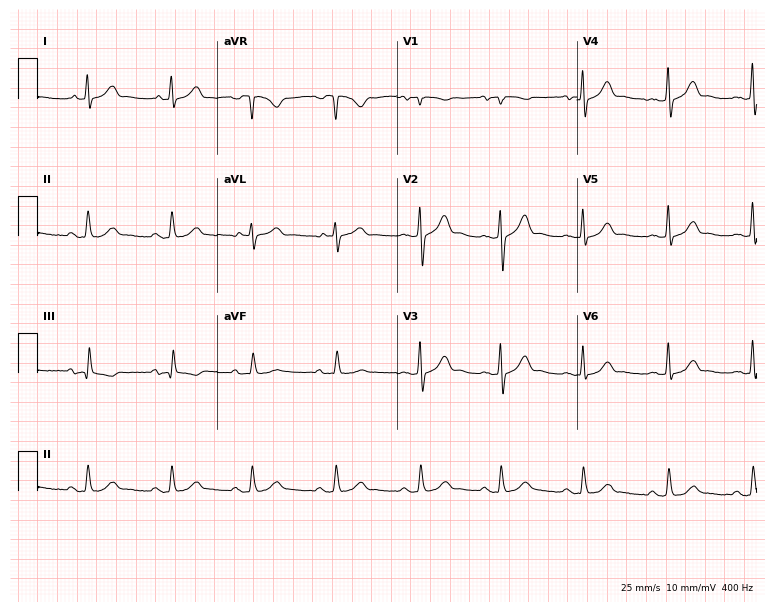
12-lead ECG from a male patient, 44 years old. Screened for six findings — first-degree AV block, right bundle branch block (RBBB), left bundle branch block (LBBB), sinus bradycardia, atrial fibrillation (AF), sinus tachycardia — none is recorded. Other findings, if any, are not listed.